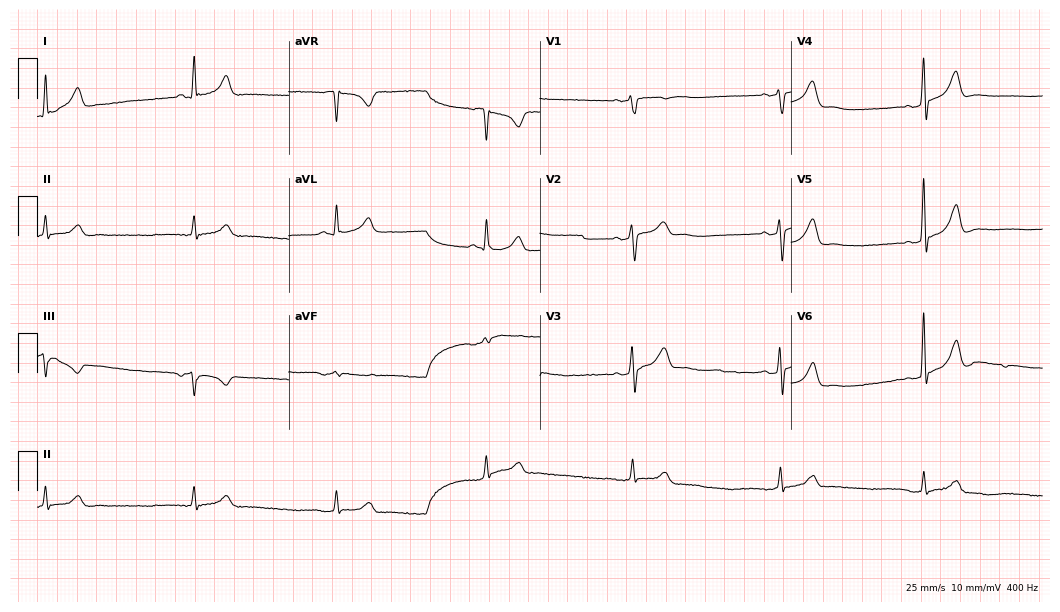
ECG (10.2-second recording at 400 Hz) — a 67-year-old man. Findings include sinus bradycardia (a sinus rate of 50 beats per minute or less).